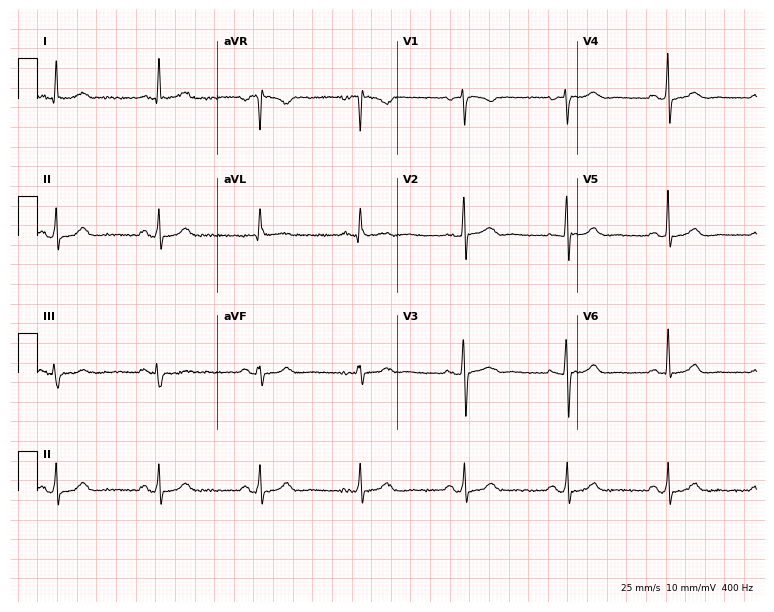
12-lead ECG (7.3-second recording at 400 Hz) from a 73-year-old female patient. Labelled as a normal ECG.